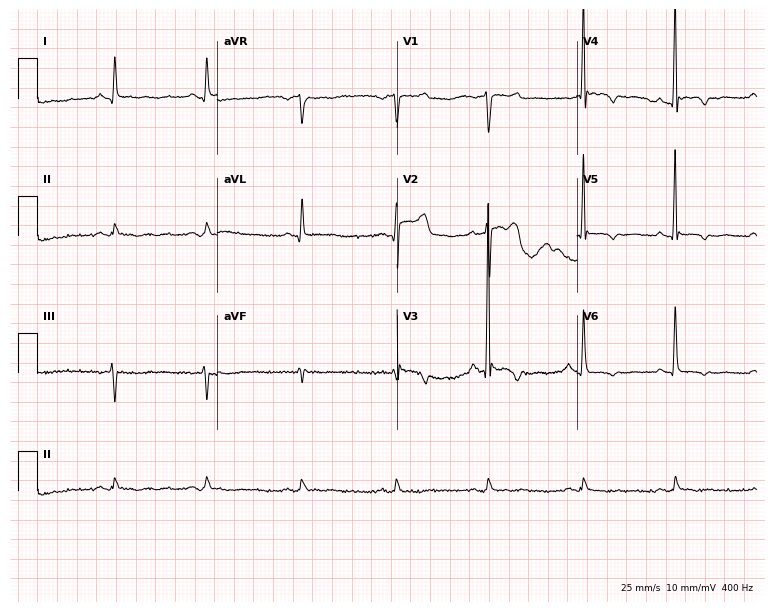
12-lead ECG from a male, 53 years old. No first-degree AV block, right bundle branch block, left bundle branch block, sinus bradycardia, atrial fibrillation or sinus tachycardia recorded for this tracing. Only these six findings were labelled.